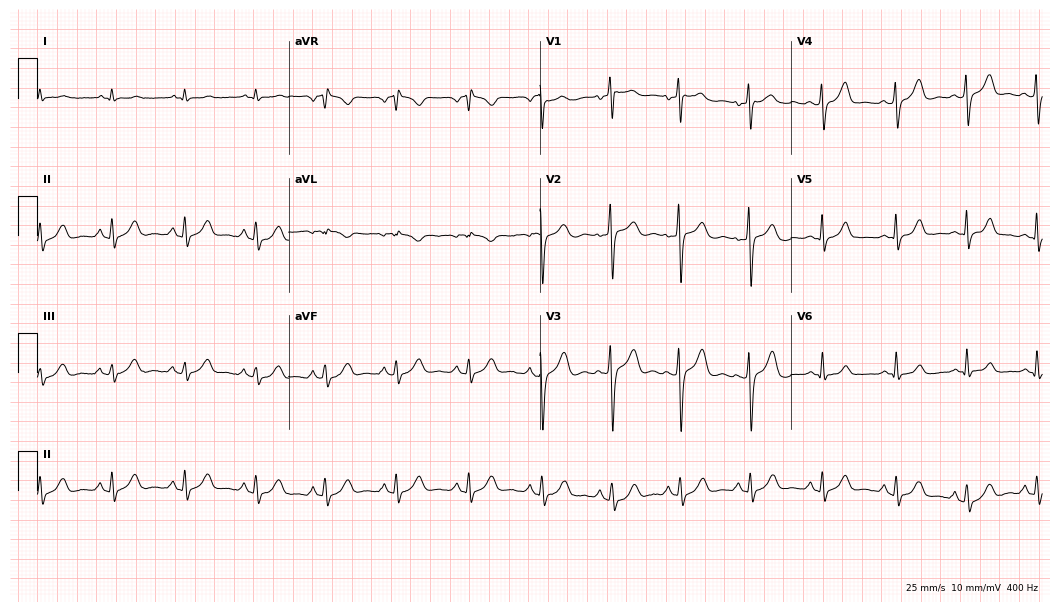
Standard 12-lead ECG recorded from a 30-year-old man (10.2-second recording at 400 Hz). Read as a normal ECG.